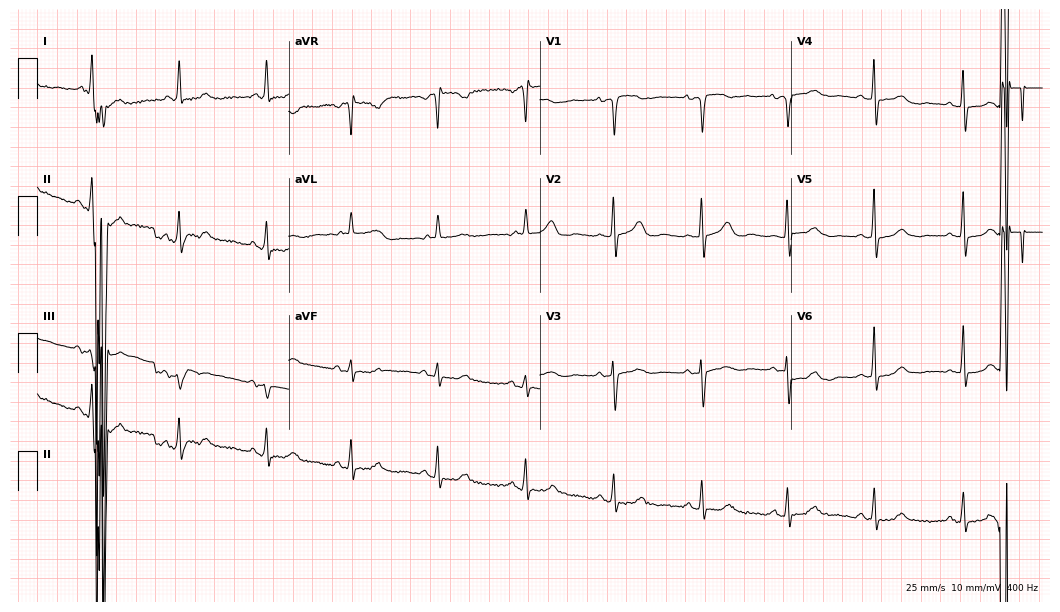
Resting 12-lead electrocardiogram (10.2-second recording at 400 Hz). Patient: an 86-year-old female. Read as a normal ECG.